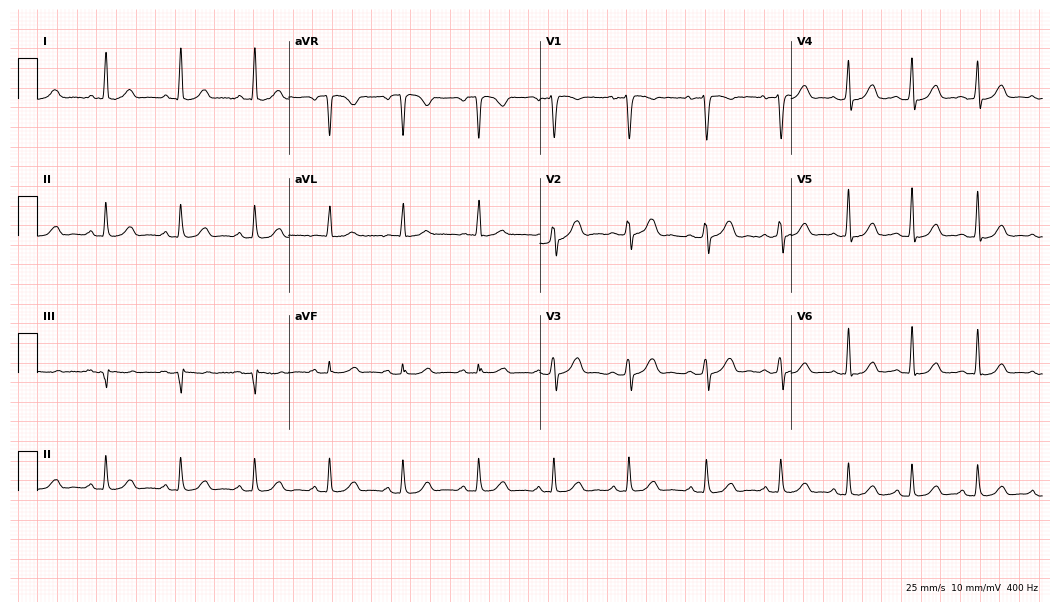
Resting 12-lead electrocardiogram (10.2-second recording at 400 Hz). Patient: a woman, 42 years old. None of these six findings is recorded: first-degree AV block, right bundle branch block, left bundle branch block, sinus bradycardia, atrial fibrillation, sinus tachycardia. Only these six findings were labelled.